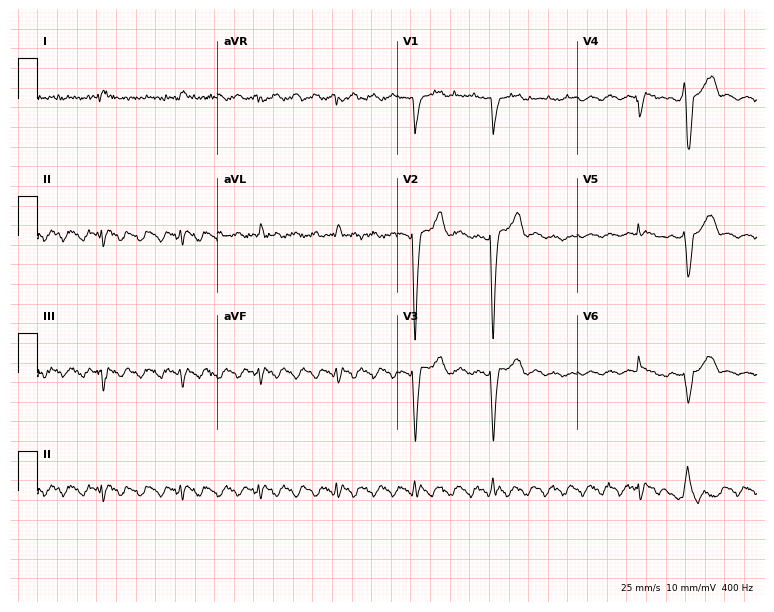
Standard 12-lead ECG recorded from a male patient, 53 years old. The tracing shows atrial fibrillation (AF).